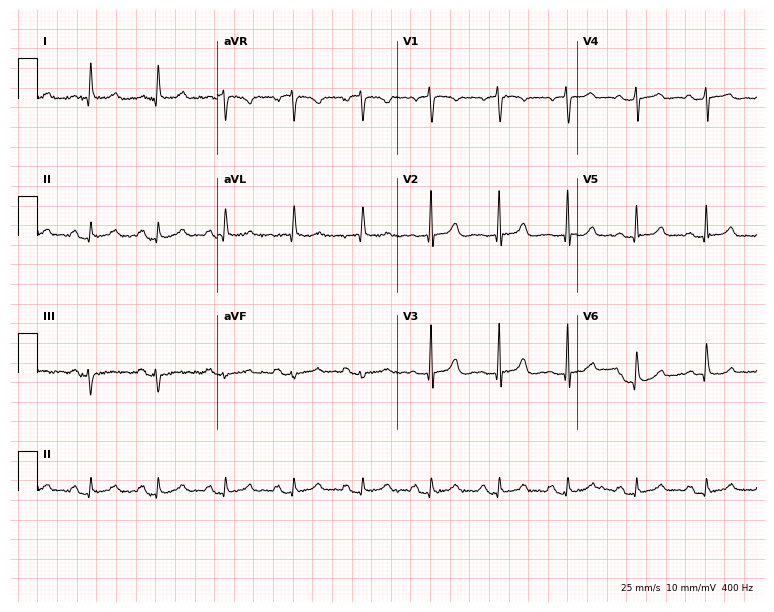
Resting 12-lead electrocardiogram. Patient: a female, 81 years old. Read as a normal ECG.